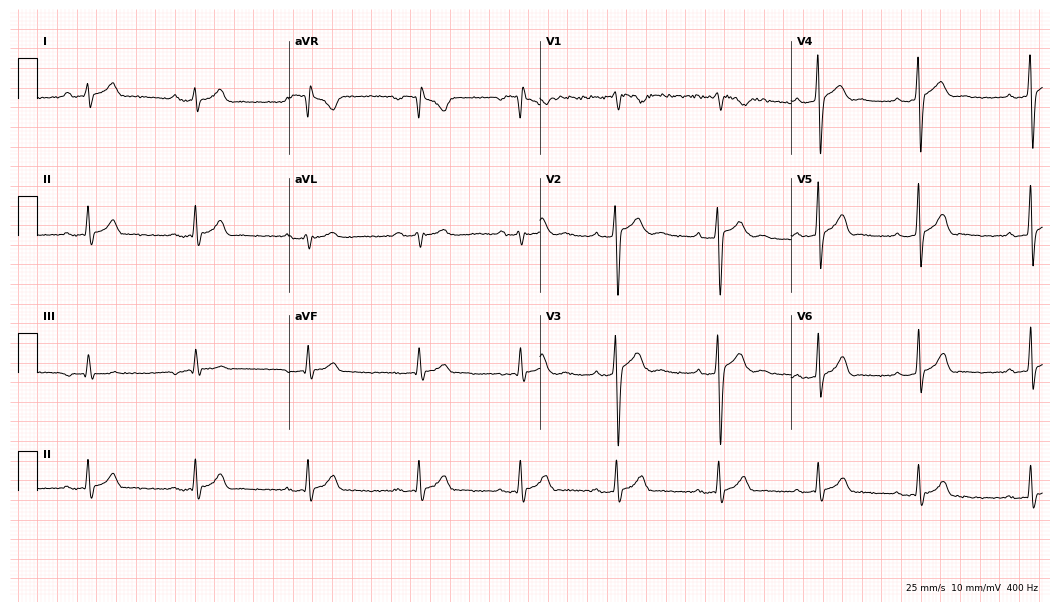
Standard 12-lead ECG recorded from a 23-year-old man. None of these six findings is recorded: first-degree AV block, right bundle branch block, left bundle branch block, sinus bradycardia, atrial fibrillation, sinus tachycardia. Findings outside these six are not listed.